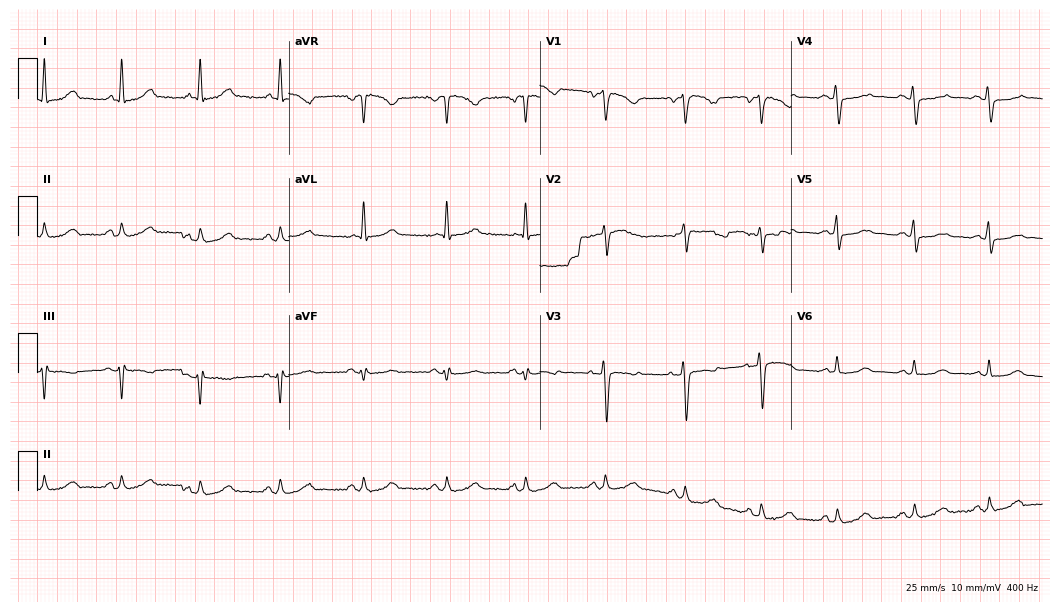
Electrocardiogram (10.2-second recording at 400 Hz), a female patient, 50 years old. Of the six screened findings (first-degree AV block, right bundle branch block (RBBB), left bundle branch block (LBBB), sinus bradycardia, atrial fibrillation (AF), sinus tachycardia), none is recorded. Other findings, if any, are not listed.